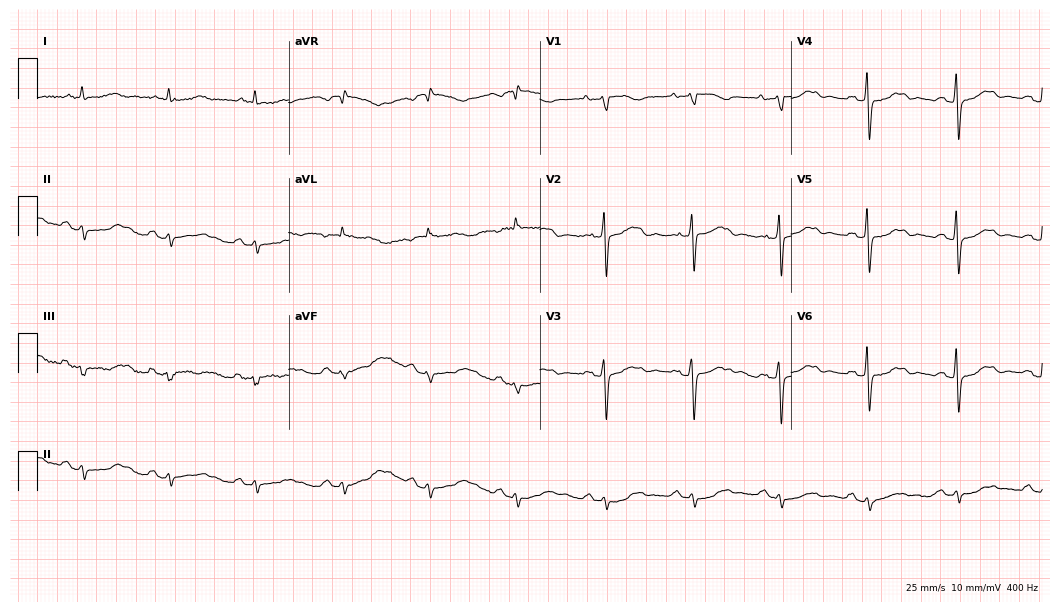
12-lead ECG from a female patient, 70 years old. No first-degree AV block, right bundle branch block, left bundle branch block, sinus bradycardia, atrial fibrillation or sinus tachycardia recorded for this tracing.